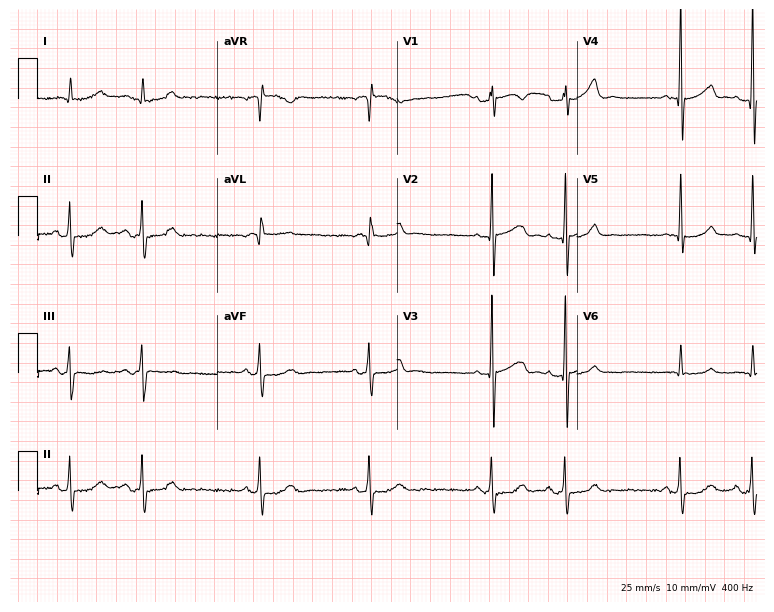
Resting 12-lead electrocardiogram. Patient: a man, 71 years old. None of these six findings is recorded: first-degree AV block, right bundle branch block (RBBB), left bundle branch block (LBBB), sinus bradycardia, atrial fibrillation (AF), sinus tachycardia.